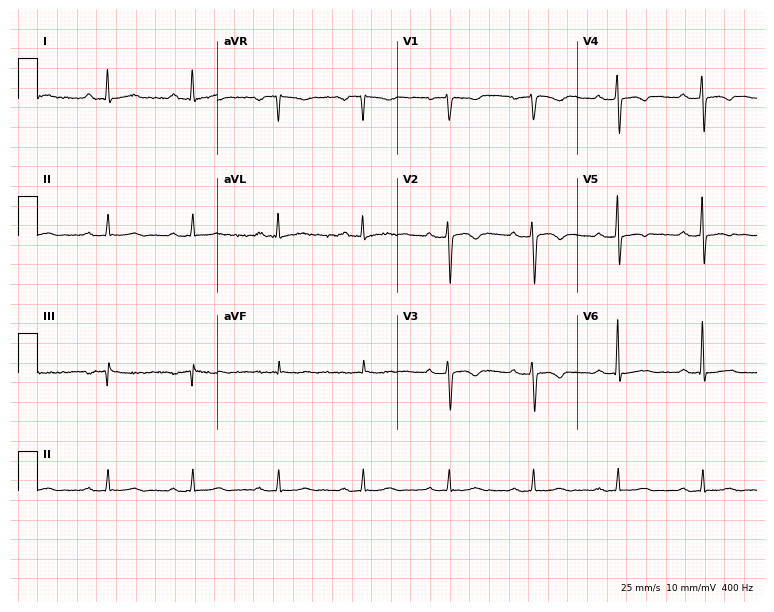
ECG (7.3-second recording at 400 Hz) — a 48-year-old woman. Findings include first-degree AV block.